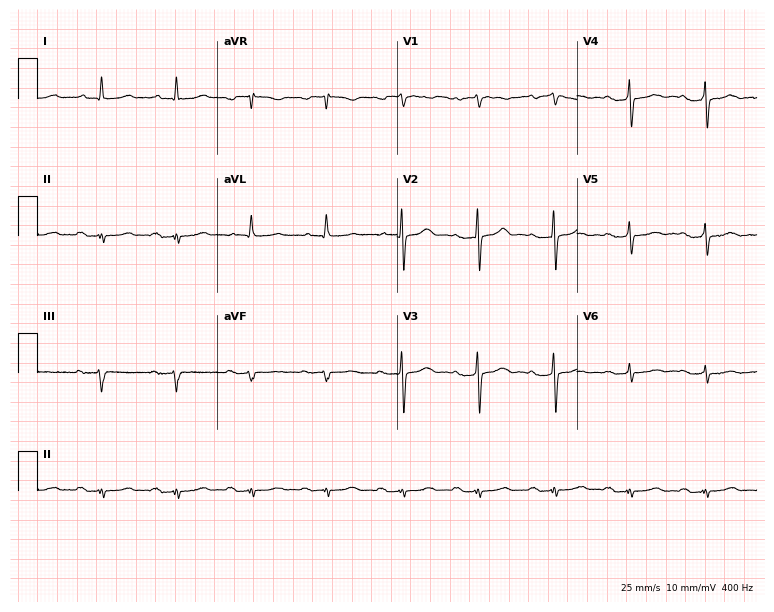
ECG — a man, 70 years old. Findings include first-degree AV block.